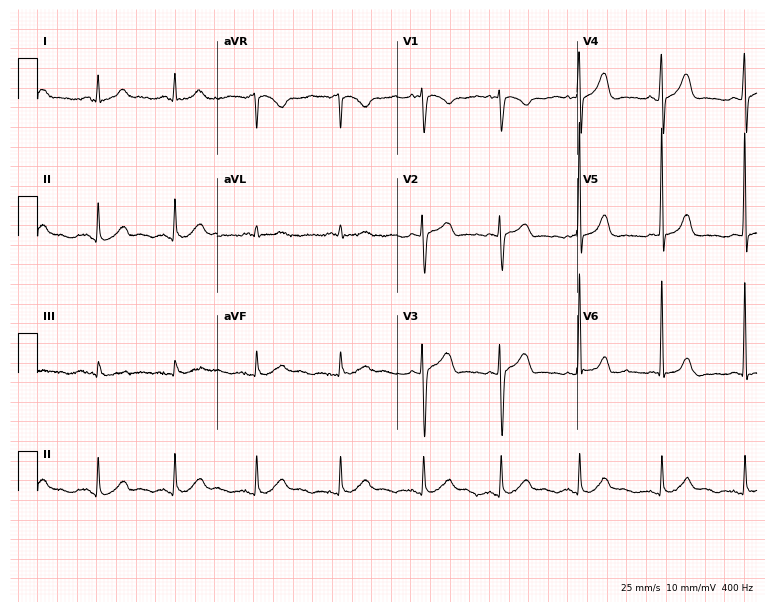
Electrocardiogram, a female, 26 years old. Overall reading on record: normal ECG.